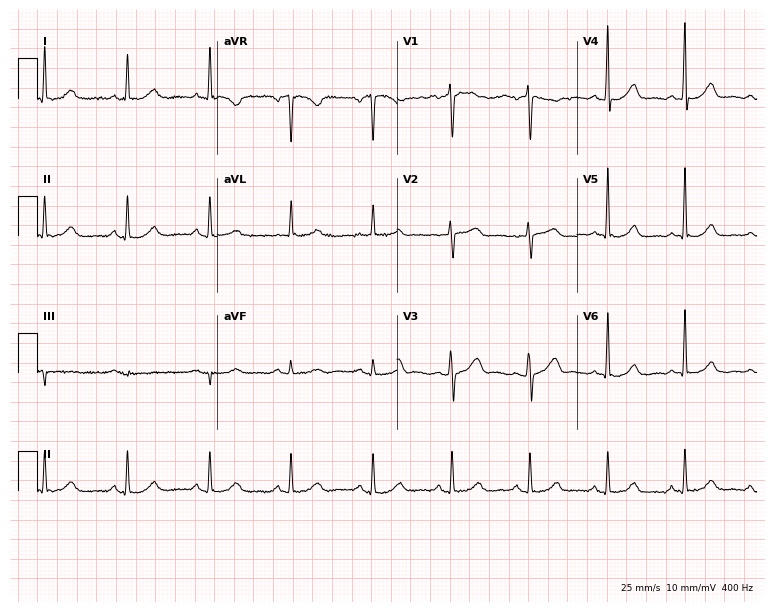
Electrocardiogram (7.3-second recording at 400 Hz), a man, 73 years old. Overall reading on record: normal ECG.